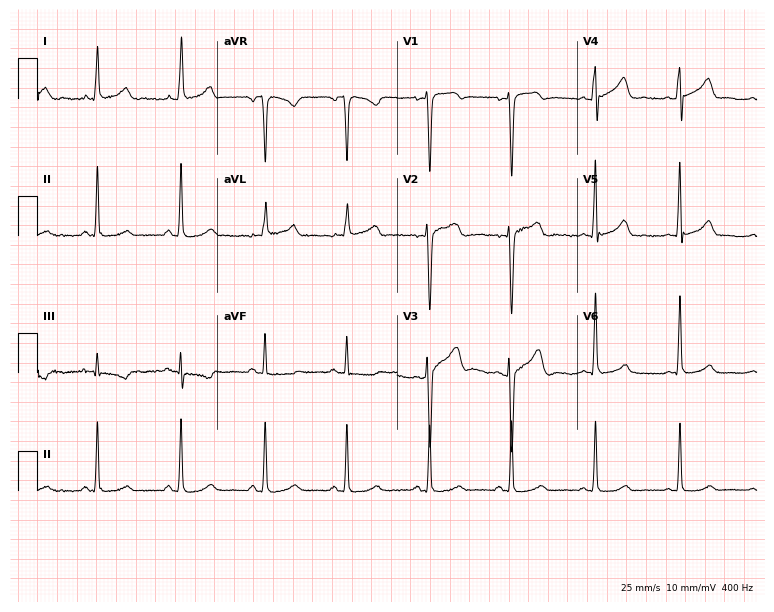
12-lead ECG from a female patient, 45 years old (7.3-second recording at 400 Hz). Recorded interpretation: within normal limits.